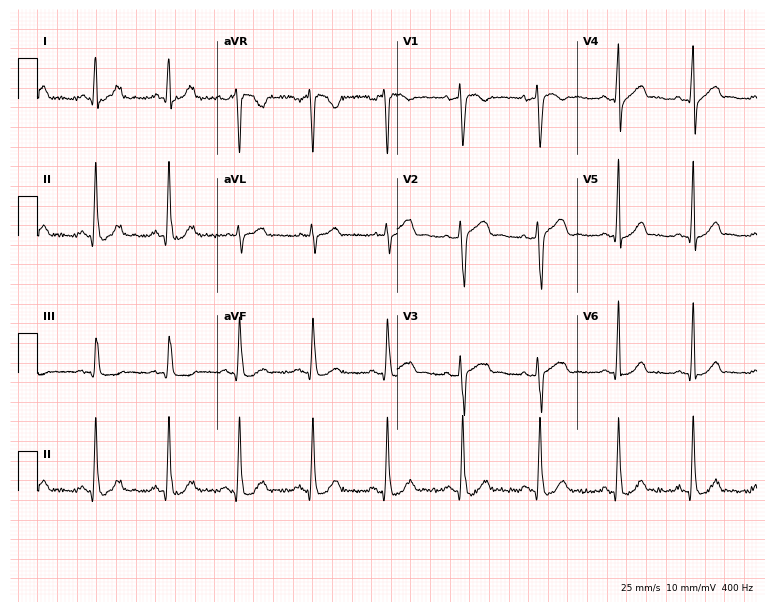
12-lead ECG from a 19-year-old male patient. No first-degree AV block, right bundle branch block, left bundle branch block, sinus bradycardia, atrial fibrillation or sinus tachycardia recorded for this tracing. Only these six findings were labelled.